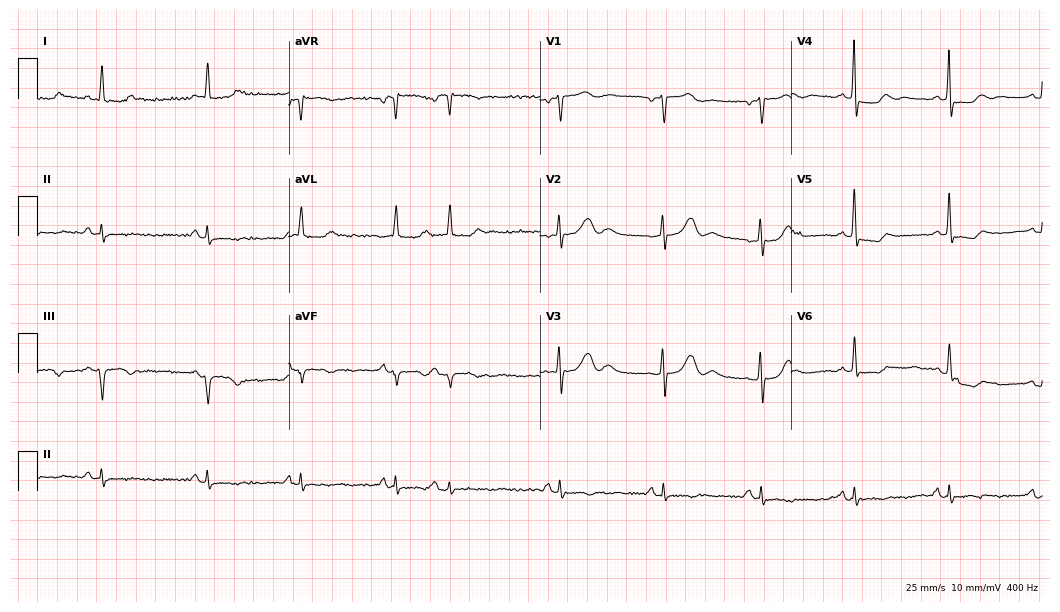
Standard 12-lead ECG recorded from a female patient, 72 years old (10.2-second recording at 400 Hz). None of these six findings is recorded: first-degree AV block, right bundle branch block, left bundle branch block, sinus bradycardia, atrial fibrillation, sinus tachycardia. Other findings, if any, are not listed.